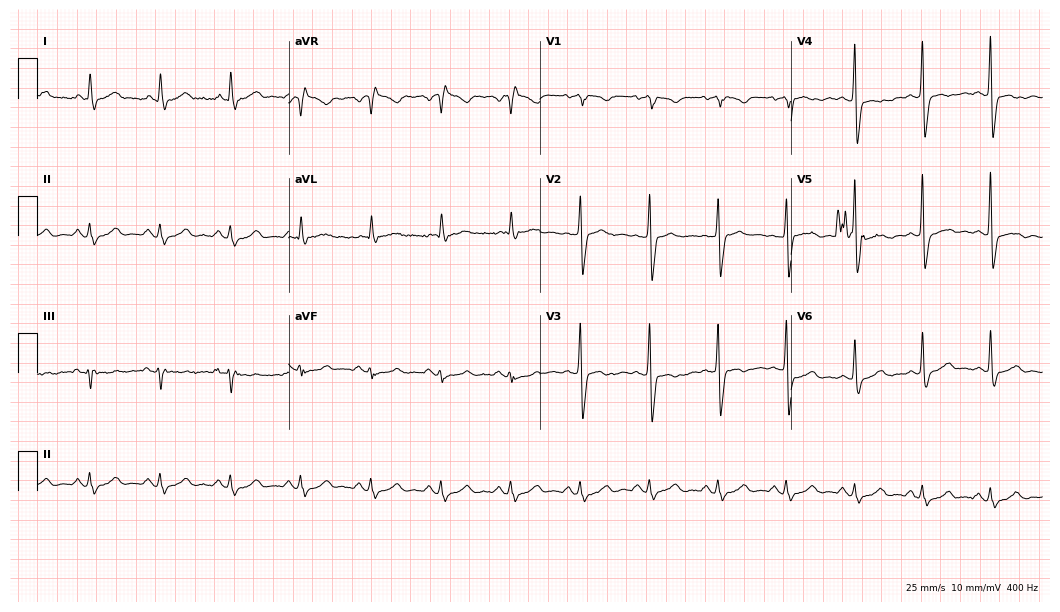
ECG — a 55-year-old male. Findings include left bundle branch block (LBBB).